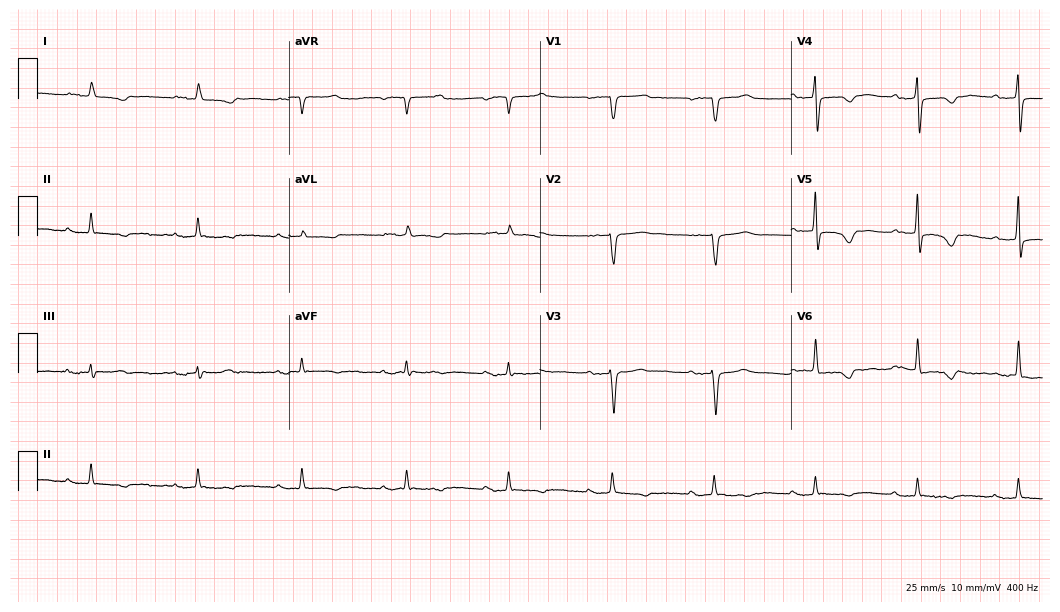
12-lead ECG from a female patient, 83 years old. Screened for six findings — first-degree AV block, right bundle branch block (RBBB), left bundle branch block (LBBB), sinus bradycardia, atrial fibrillation (AF), sinus tachycardia — none is recorded.